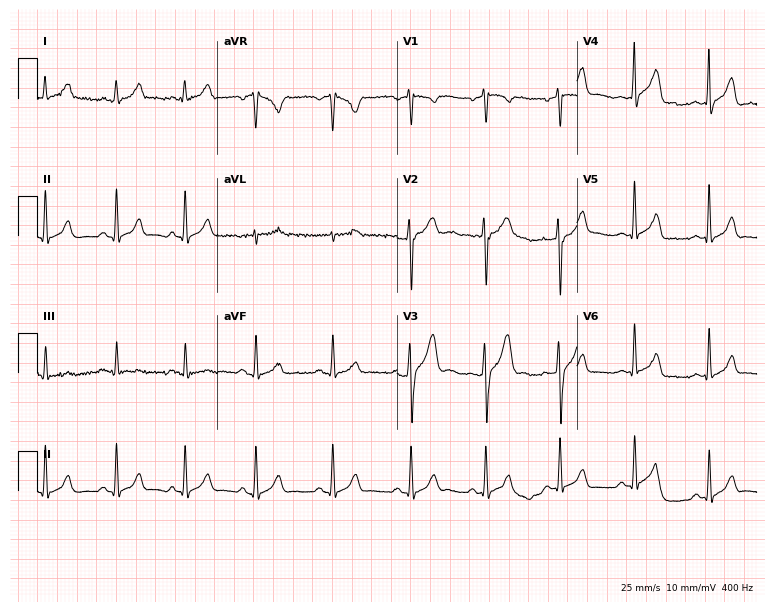
12-lead ECG from a 22-year-old male patient (7.3-second recording at 400 Hz). No first-degree AV block, right bundle branch block, left bundle branch block, sinus bradycardia, atrial fibrillation or sinus tachycardia recorded for this tracing. Findings outside these six are not listed.